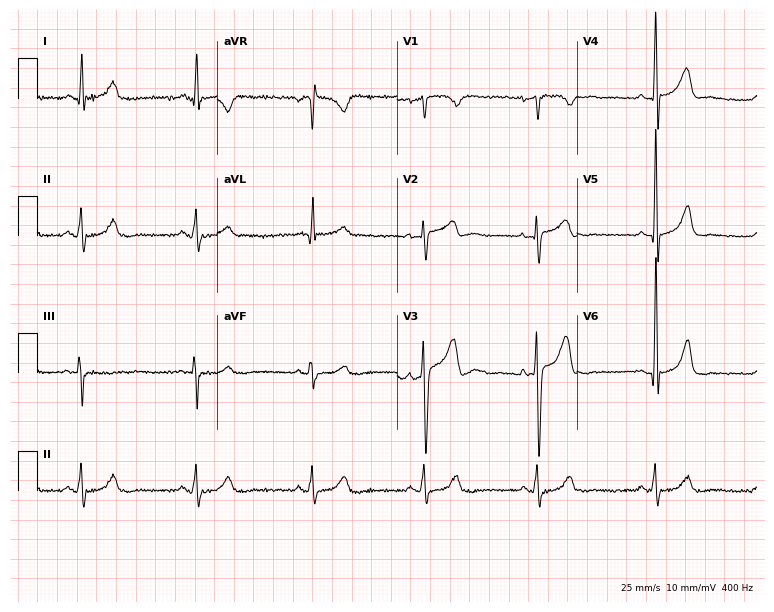
ECG — a man, 51 years old. Labelled as a normal ECG.